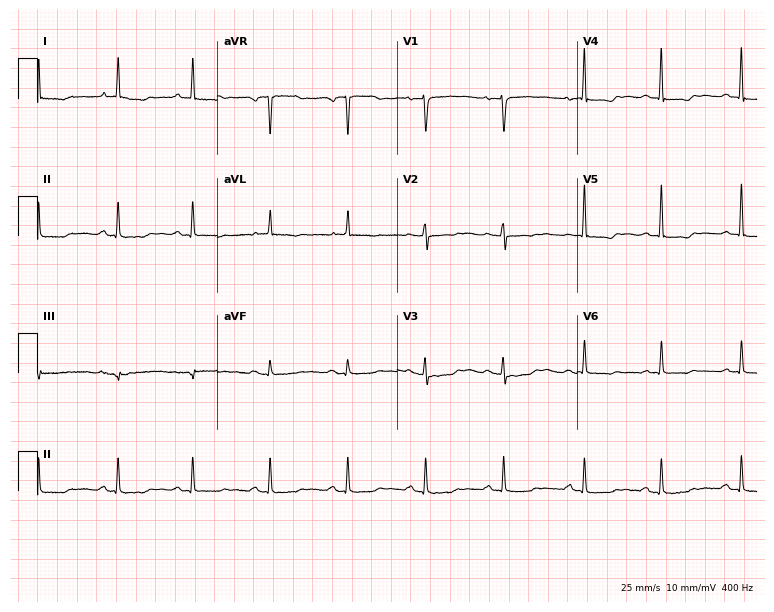
ECG (7.3-second recording at 400 Hz) — an 84-year-old female patient. Screened for six findings — first-degree AV block, right bundle branch block, left bundle branch block, sinus bradycardia, atrial fibrillation, sinus tachycardia — none is recorded. Only these six findings were labelled.